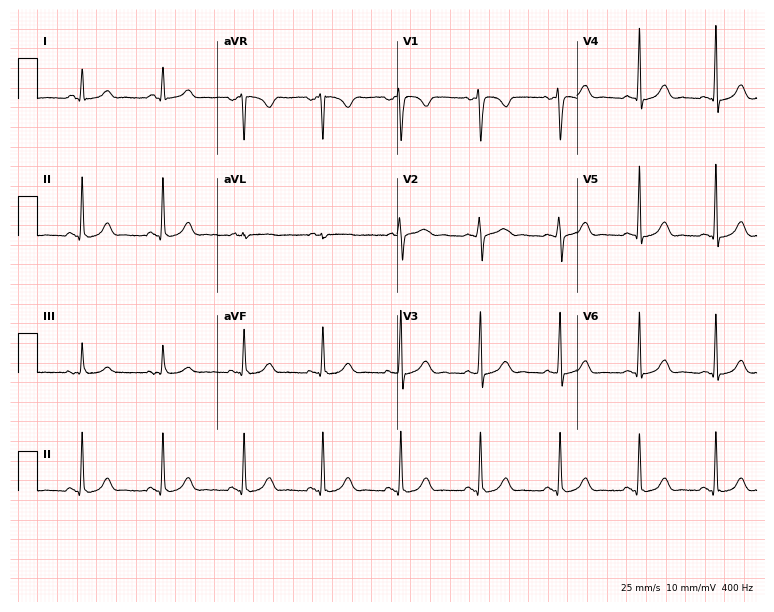
12-lead ECG (7.3-second recording at 400 Hz) from a woman, 39 years old. Labelled as a normal ECG.